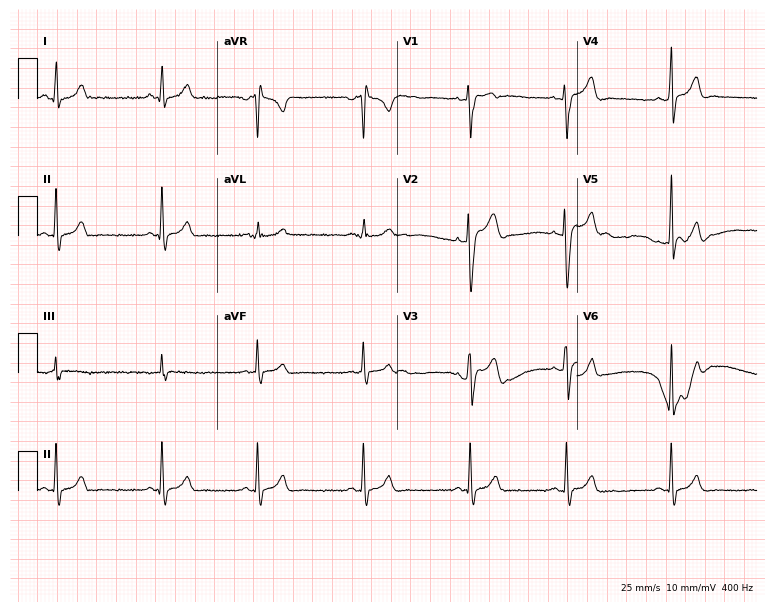
Resting 12-lead electrocardiogram (7.3-second recording at 400 Hz). Patient: a 24-year-old male. None of these six findings is recorded: first-degree AV block, right bundle branch block, left bundle branch block, sinus bradycardia, atrial fibrillation, sinus tachycardia. Other findings, if any, are not listed.